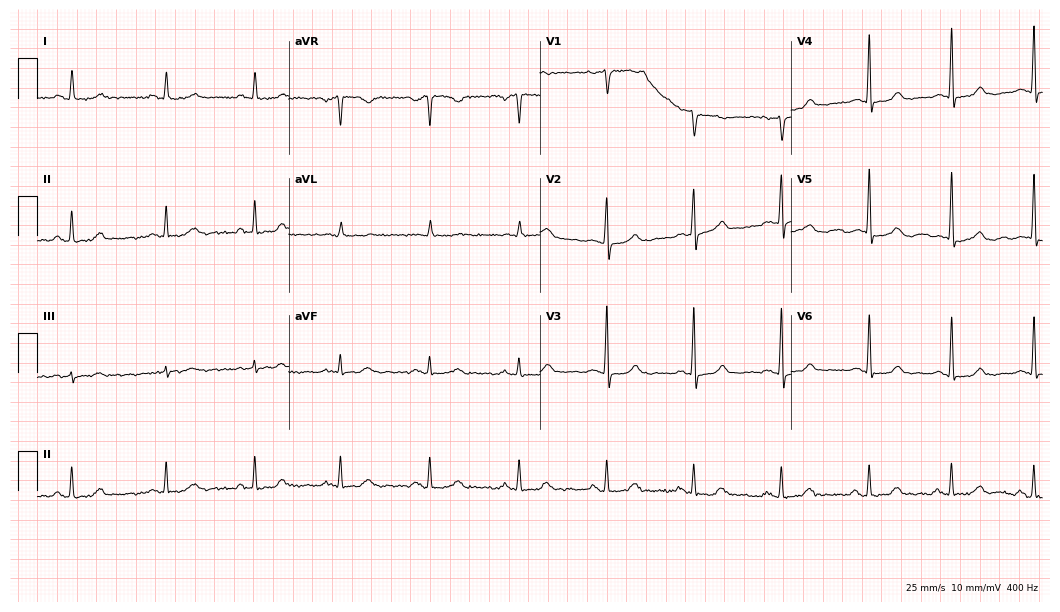
Resting 12-lead electrocardiogram (10.2-second recording at 400 Hz). Patient: a 55-year-old female. Read as a normal ECG.